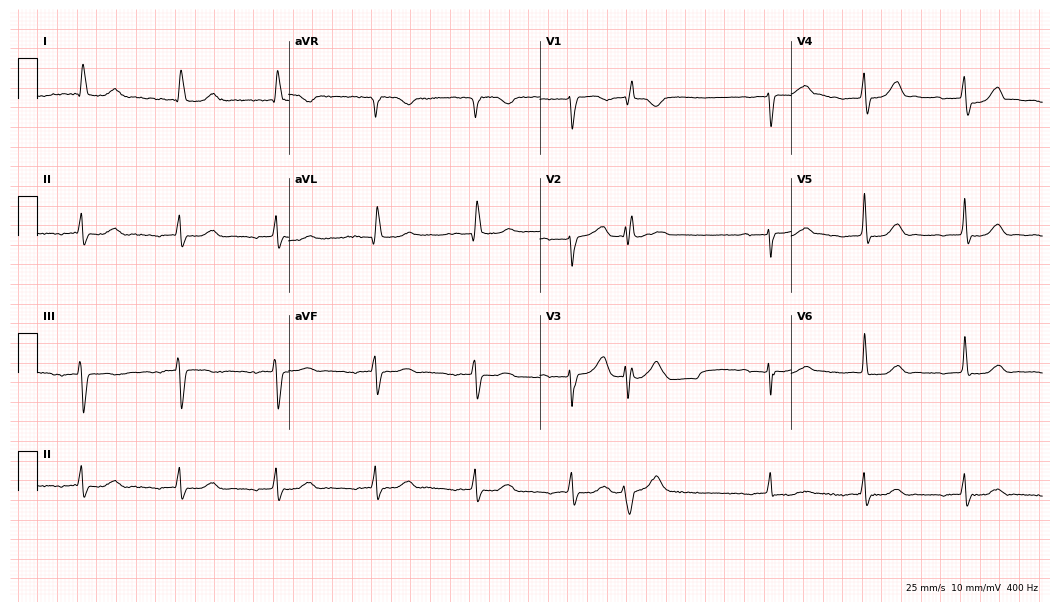
Resting 12-lead electrocardiogram. Patient: a 77-year-old female. None of these six findings is recorded: first-degree AV block, right bundle branch block, left bundle branch block, sinus bradycardia, atrial fibrillation, sinus tachycardia.